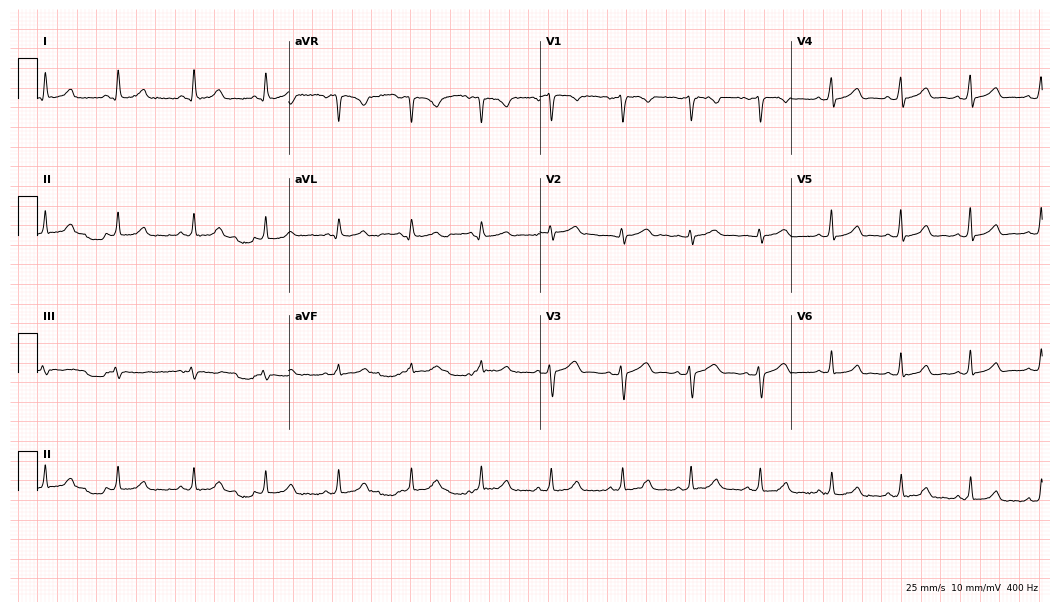
Electrocardiogram (10.2-second recording at 400 Hz), a woman, 29 years old. Overall reading on record: normal ECG.